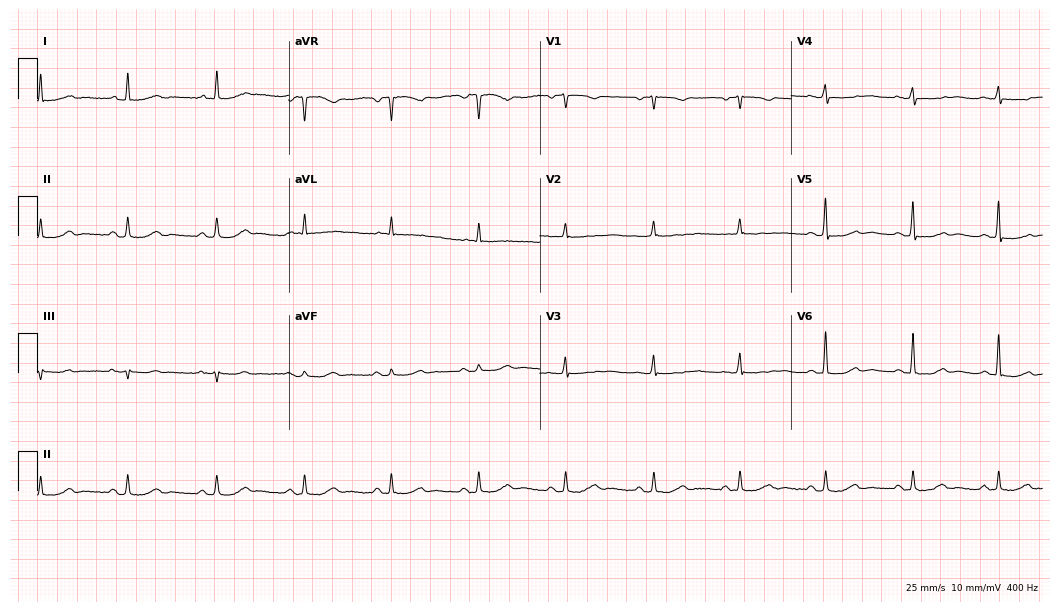
12-lead ECG from a 72-year-old woman. Screened for six findings — first-degree AV block, right bundle branch block, left bundle branch block, sinus bradycardia, atrial fibrillation, sinus tachycardia — none is recorded. Findings outside these six are not listed.